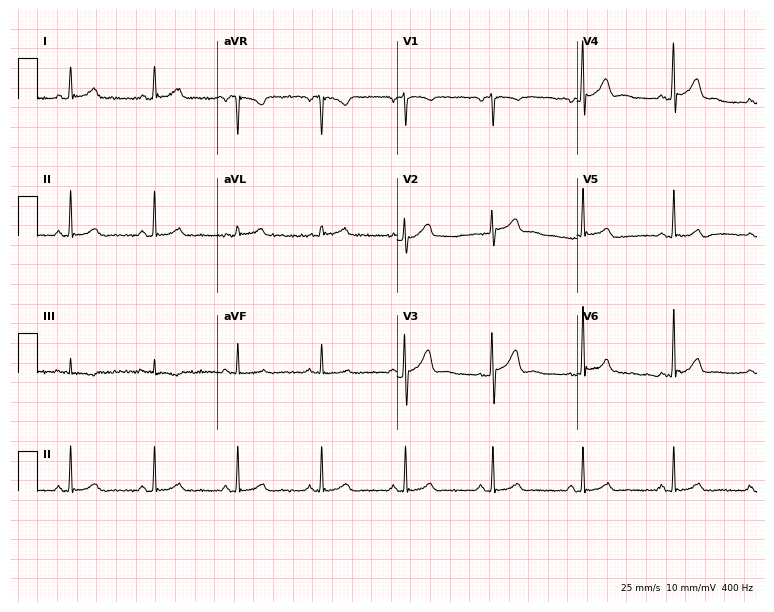
12-lead ECG from a male, 33 years old. Labelled as a normal ECG.